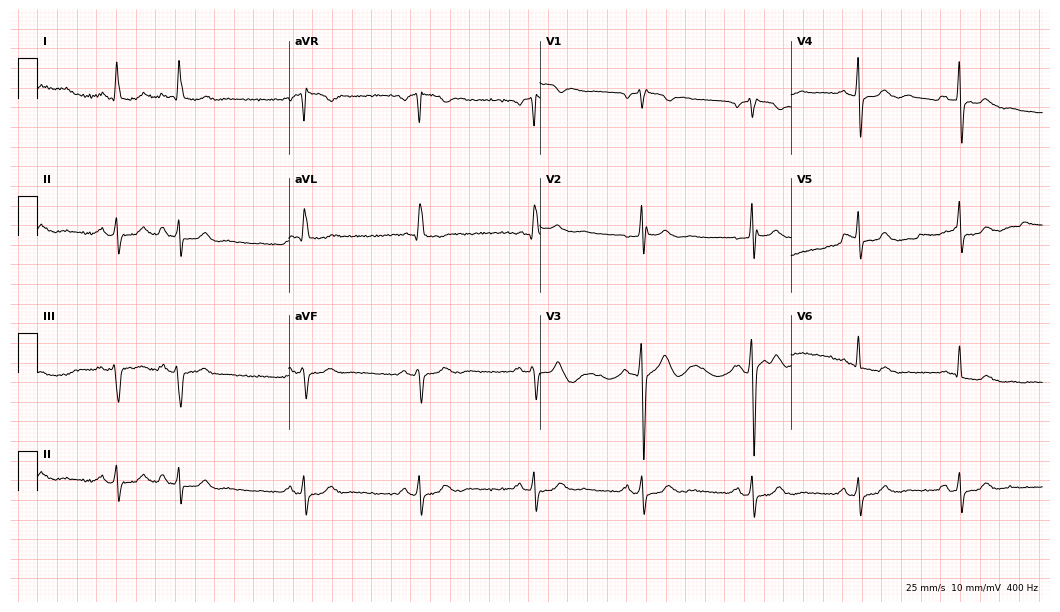
Electrocardiogram (10.2-second recording at 400 Hz), a 78-year-old woman. Of the six screened findings (first-degree AV block, right bundle branch block, left bundle branch block, sinus bradycardia, atrial fibrillation, sinus tachycardia), none is recorded.